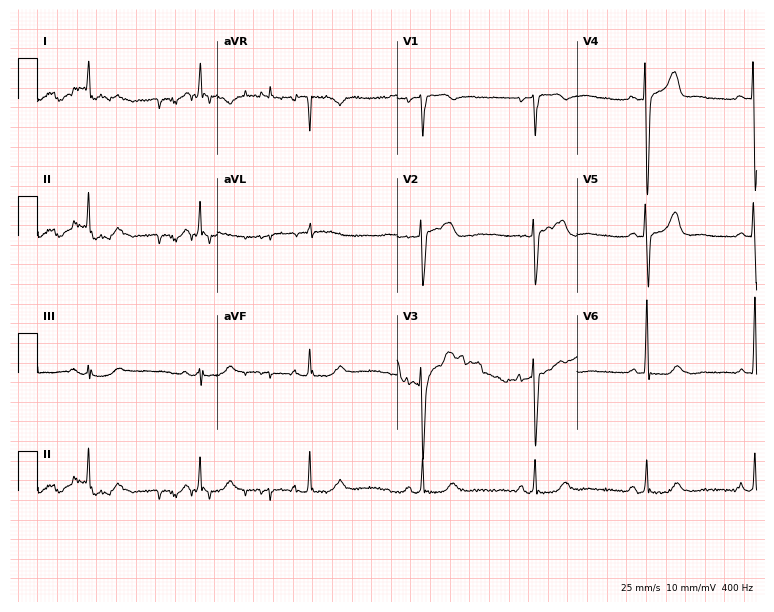
Electrocardiogram (7.3-second recording at 400 Hz), an 82-year-old male. Overall reading on record: normal ECG.